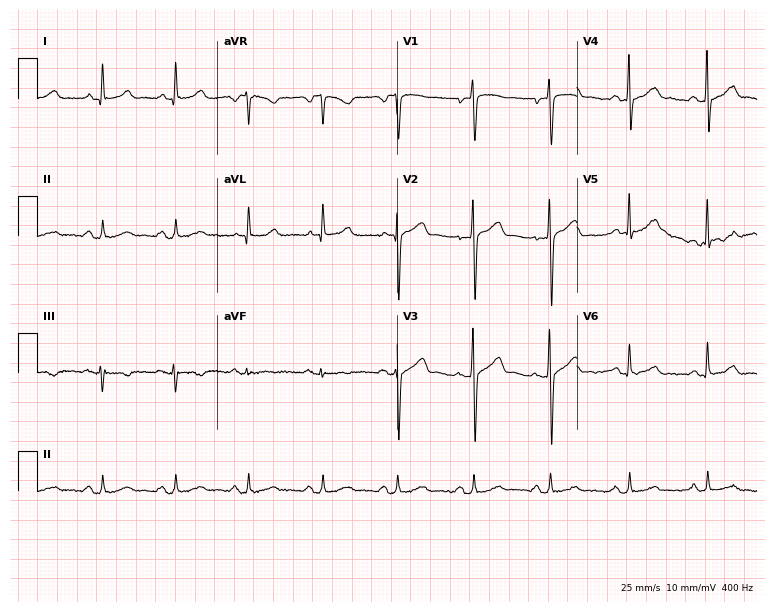
Resting 12-lead electrocardiogram. Patient: a male, 42 years old. None of these six findings is recorded: first-degree AV block, right bundle branch block, left bundle branch block, sinus bradycardia, atrial fibrillation, sinus tachycardia. Only these six findings were labelled.